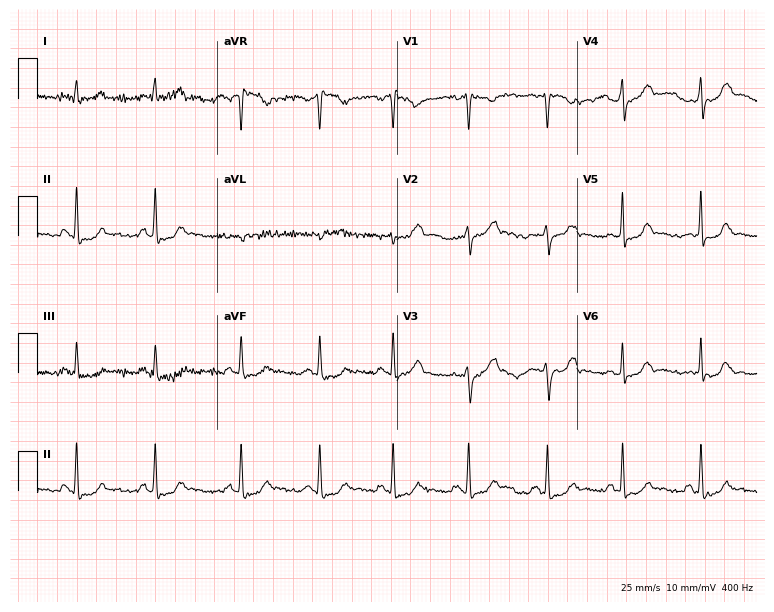
Standard 12-lead ECG recorded from a female patient, 34 years old (7.3-second recording at 400 Hz). None of these six findings is recorded: first-degree AV block, right bundle branch block (RBBB), left bundle branch block (LBBB), sinus bradycardia, atrial fibrillation (AF), sinus tachycardia. Findings outside these six are not listed.